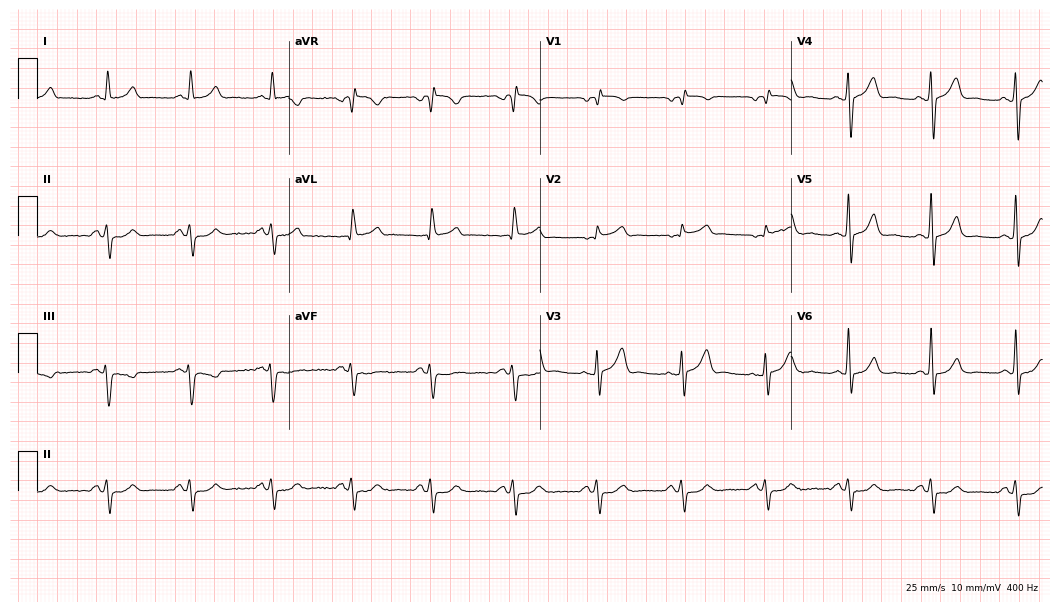
12-lead ECG from a male patient, 65 years old. No first-degree AV block, right bundle branch block (RBBB), left bundle branch block (LBBB), sinus bradycardia, atrial fibrillation (AF) or sinus tachycardia recorded for this tracing.